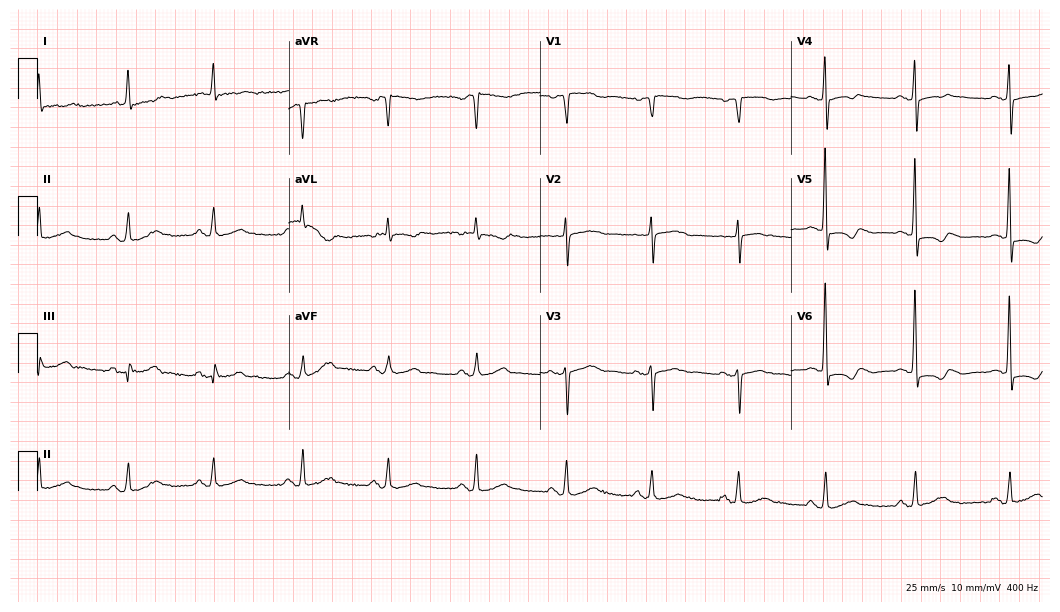
Electrocardiogram (10.2-second recording at 400 Hz), a 78-year-old female patient. Of the six screened findings (first-degree AV block, right bundle branch block (RBBB), left bundle branch block (LBBB), sinus bradycardia, atrial fibrillation (AF), sinus tachycardia), none is recorded. Other findings, if any, are not listed.